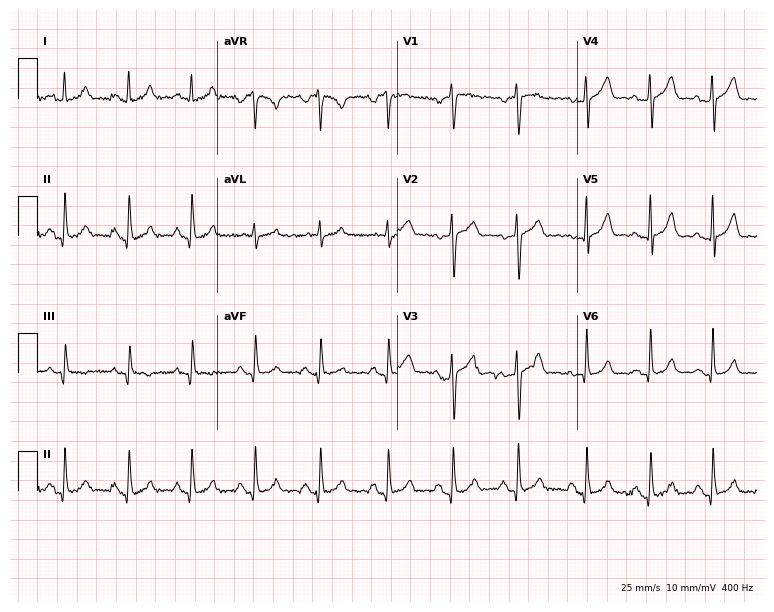
12-lead ECG from a 23-year-old woman. Labelled as a normal ECG.